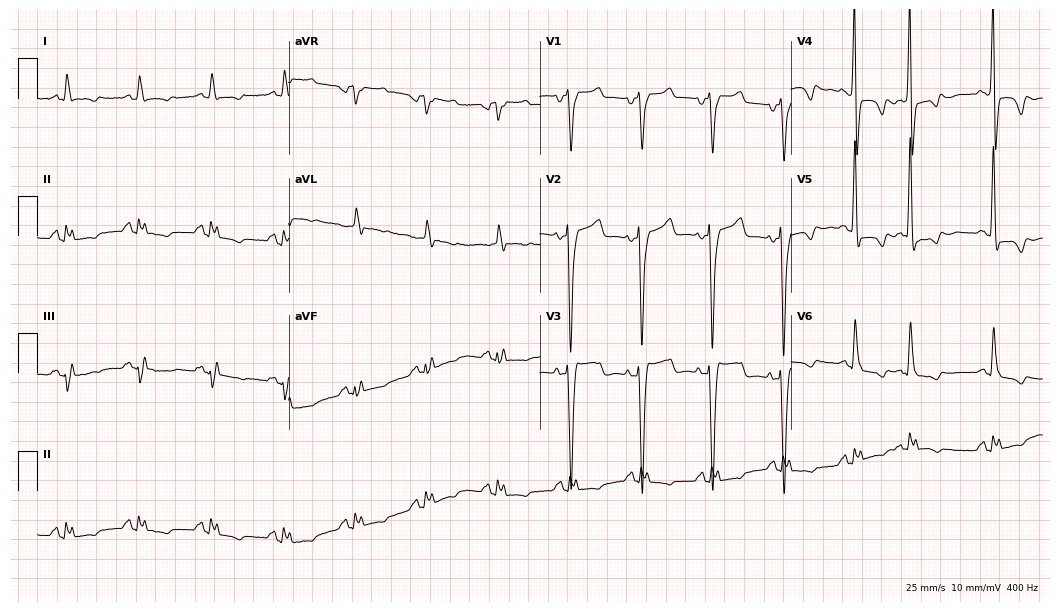
12-lead ECG (10.2-second recording at 400 Hz) from a 59-year-old male patient. Findings include left bundle branch block (LBBB).